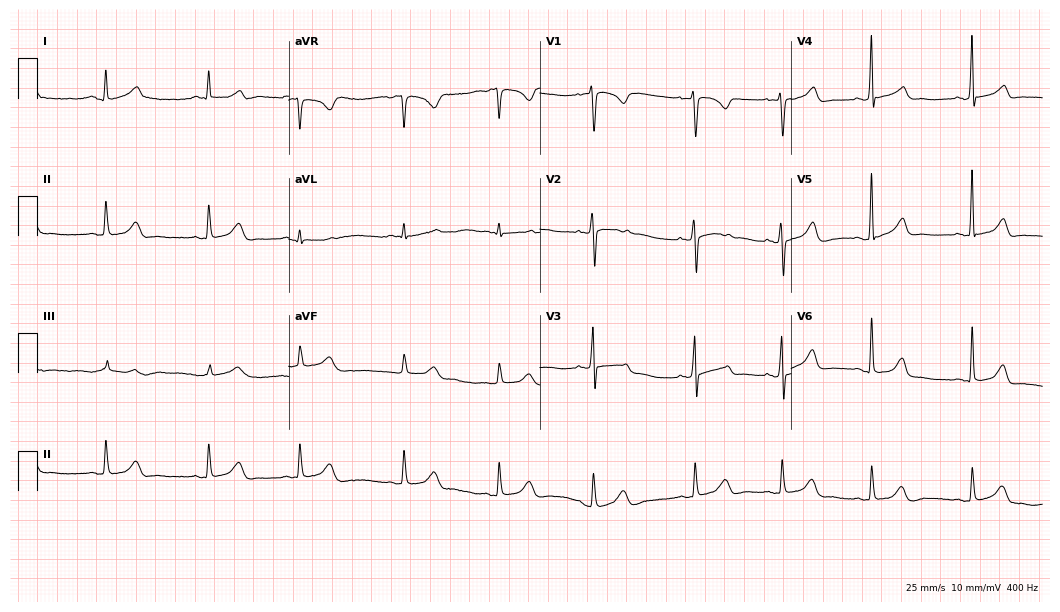
ECG — a female patient, 26 years old. Labelled as a normal ECG.